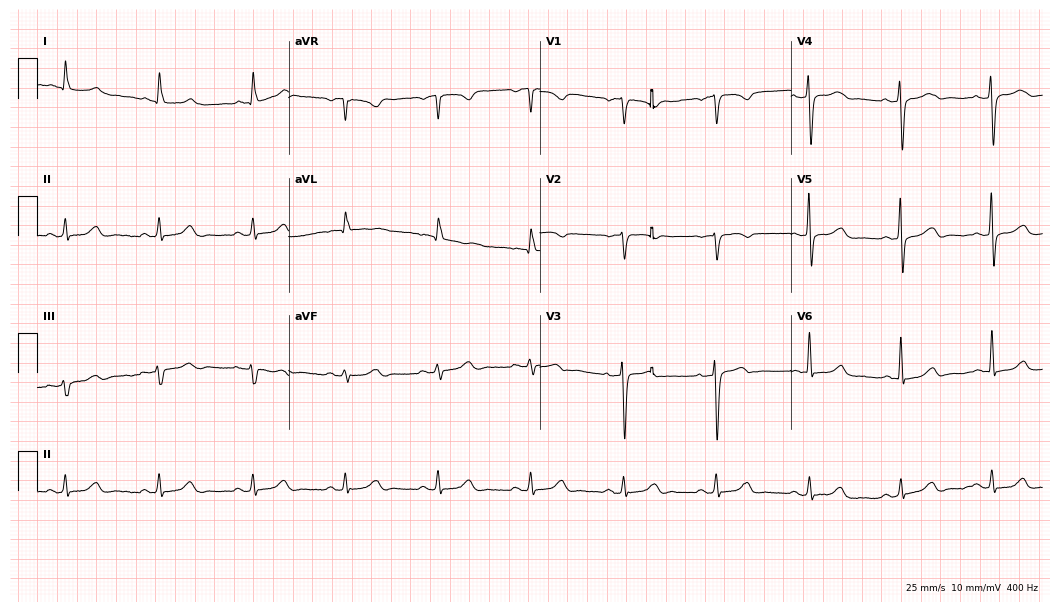
Standard 12-lead ECG recorded from a woman, 63 years old (10.2-second recording at 400 Hz). Read as a normal ECG.